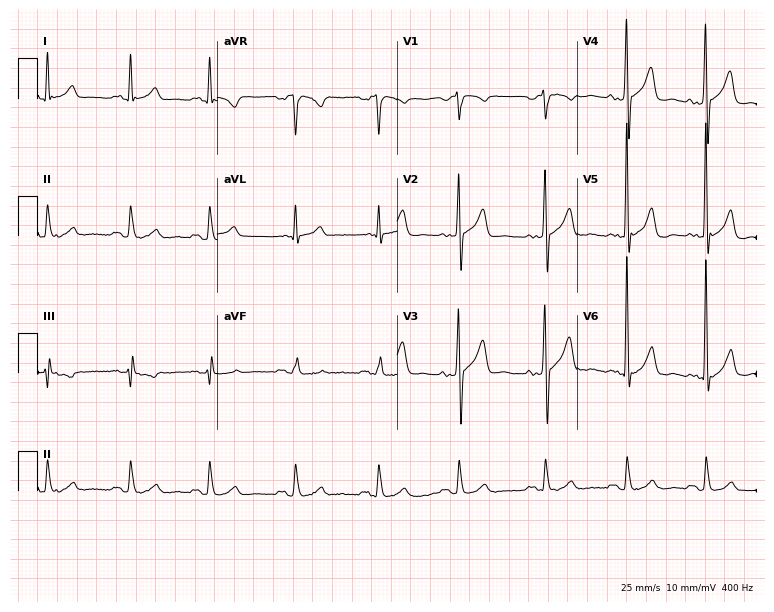
Electrocardiogram (7.3-second recording at 400 Hz), a male, 65 years old. Of the six screened findings (first-degree AV block, right bundle branch block, left bundle branch block, sinus bradycardia, atrial fibrillation, sinus tachycardia), none is recorded. Only these six findings were labelled.